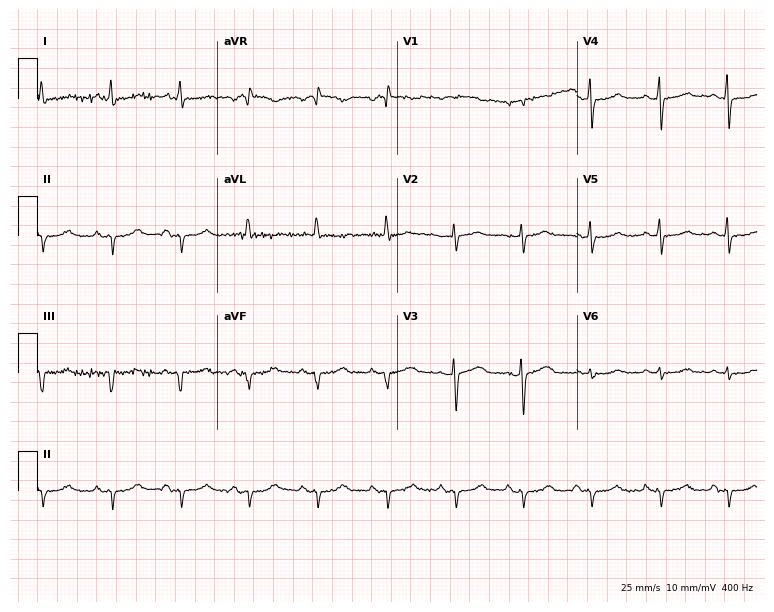
Standard 12-lead ECG recorded from an 80-year-old female. None of these six findings is recorded: first-degree AV block, right bundle branch block, left bundle branch block, sinus bradycardia, atrial fibrillation, sinus tachycardia.